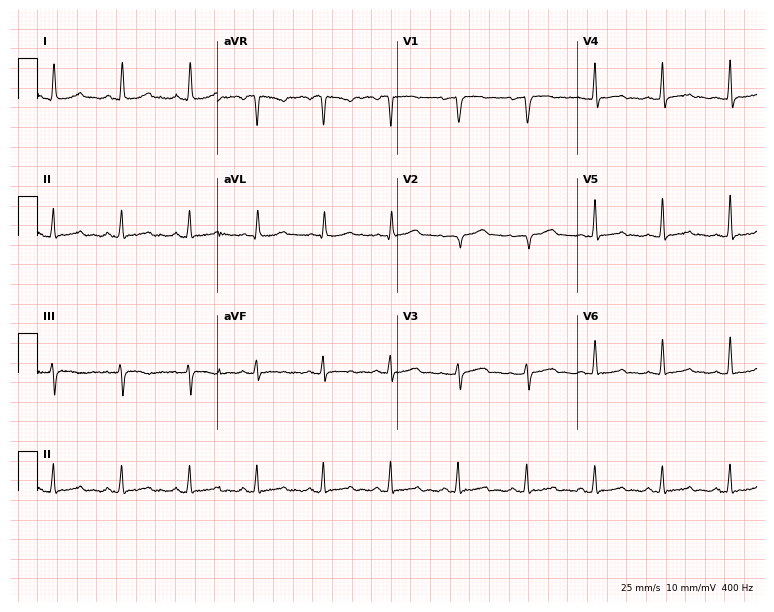
Resting 12-lead electrocardiogram. Patient: a woman, 36 years old. None of these six findings is recorded: first-degree AV block, right bundle branch block, left bundle branch block, sinus bradycardia, atrial fibrillation, sinus tachycardia.